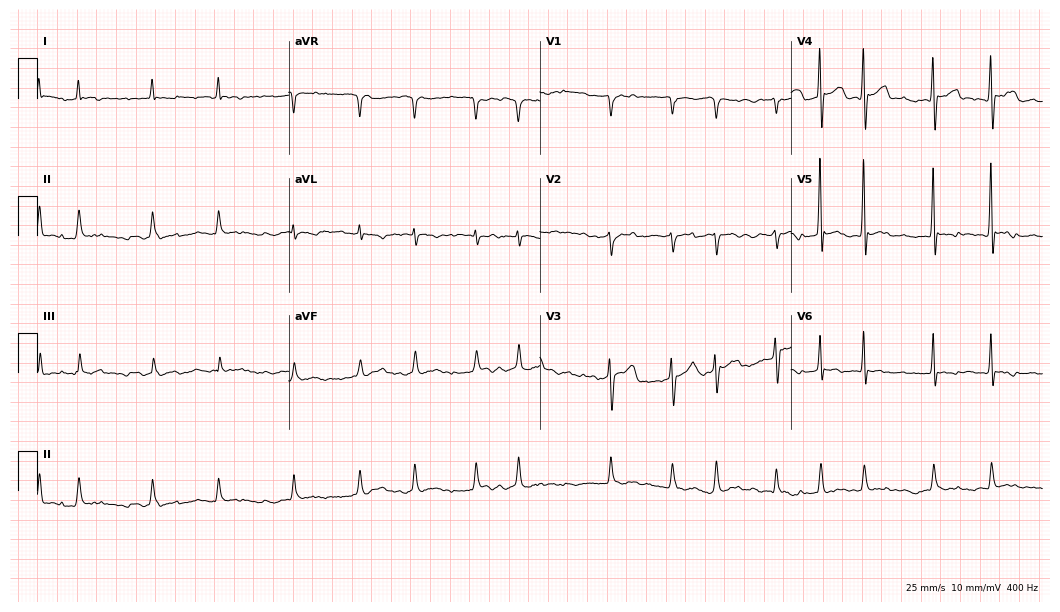
Resting 12-lead electrocardiogram. Patient: a man, 70 years old. The tracing shows atrial fibrillation (AF).